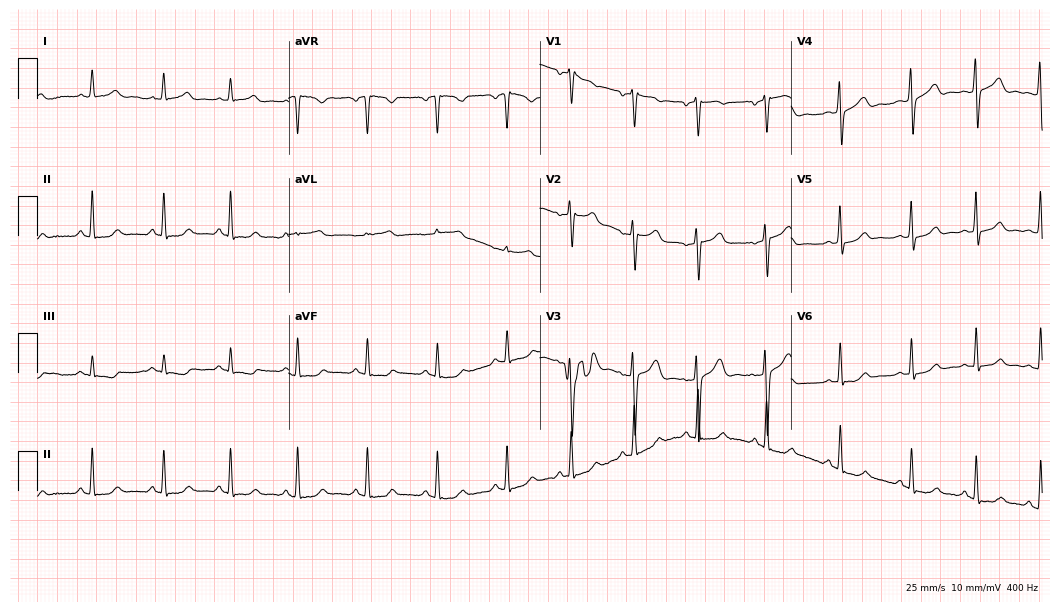
Standard 12-lead ECG recorded from a 26-year-old female patient. None of these six findings is recorded: first-degree AV block, right bundle branch block (RBBB), left bundle branch block (LBBB), sinus bradycardia, atrial fibrillation (AF), sinus tachycardia.